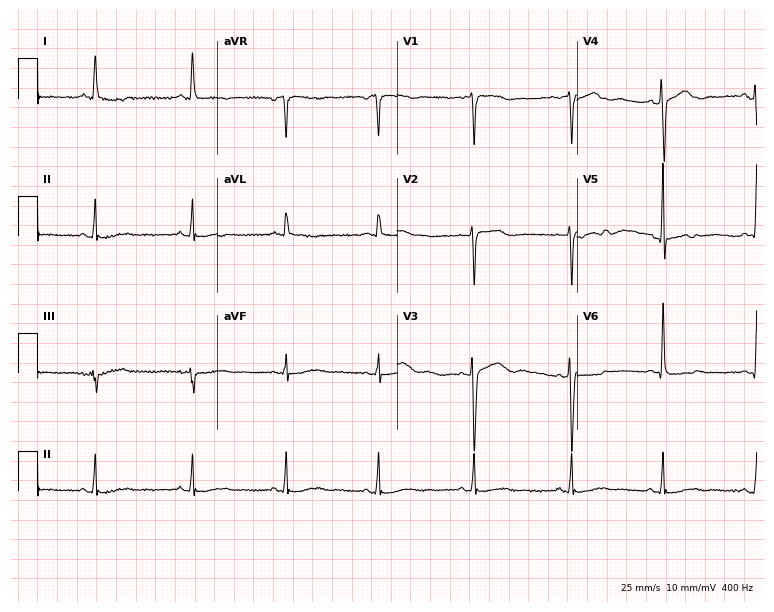
Standard 12-lead ECG recorded from a female patient, 61 years old (7.3-second recording at 400 Hz). None of these six findings is recorded: first-degree AV block, right bundle branch block (RBBB), left bundle branch block (LBBB), sinus bradycardia, atrial fibrillation (AF), sinus tachycardia. Only these six findings were labelled.